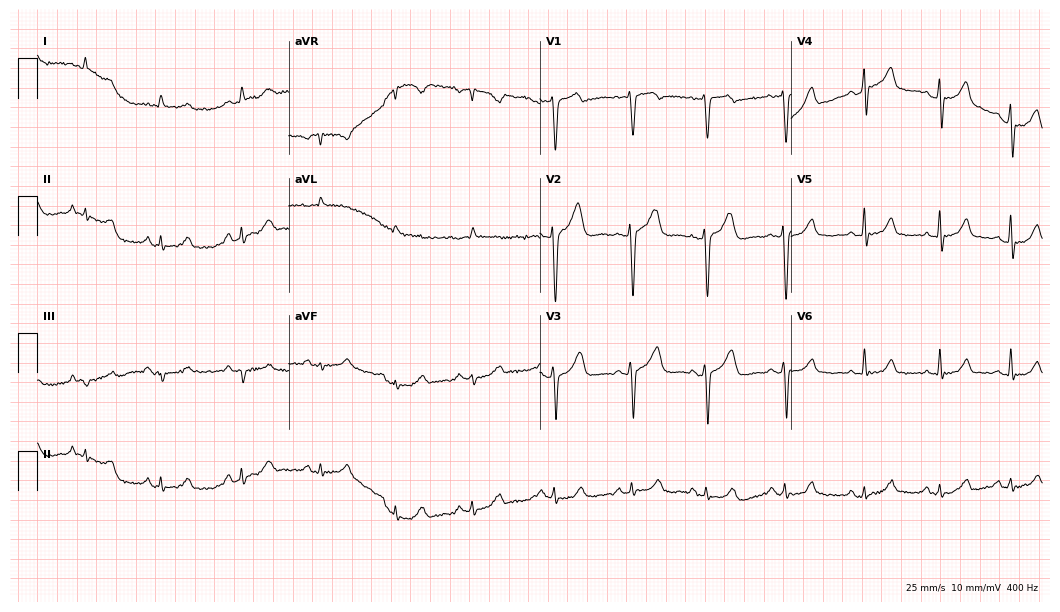
Resting 12-lead electrocardiogram. Patient: a 46-year-old man. Read as a normal ECG.